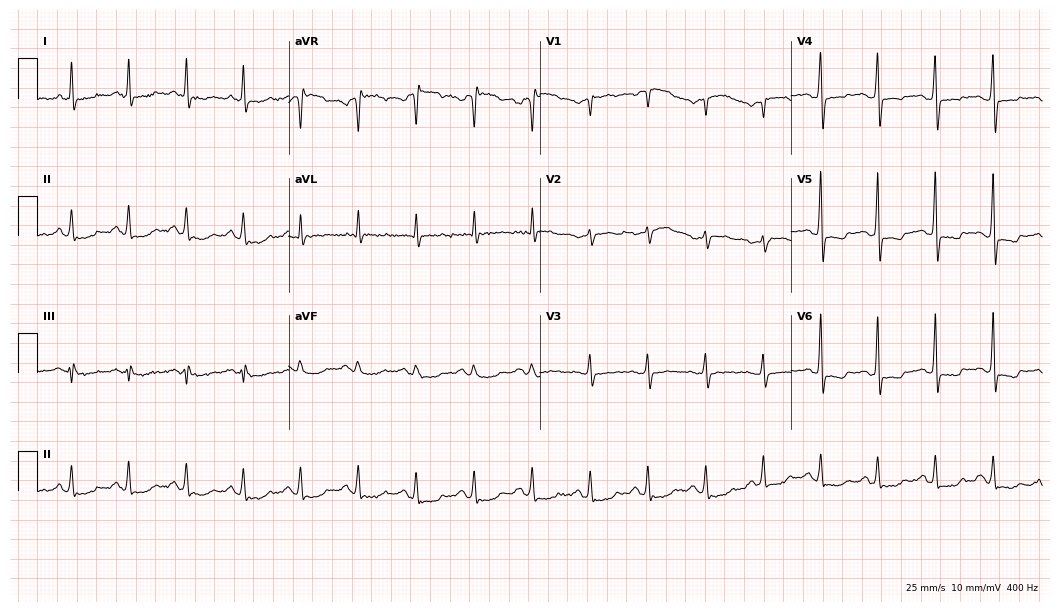
Standard 12-lead ECG recorded from a woman, 50 years old (10.2-second recording at 400 Hz). The tracing shows sinus tachycardia (a sinus rate of 100 beats per minute or more).